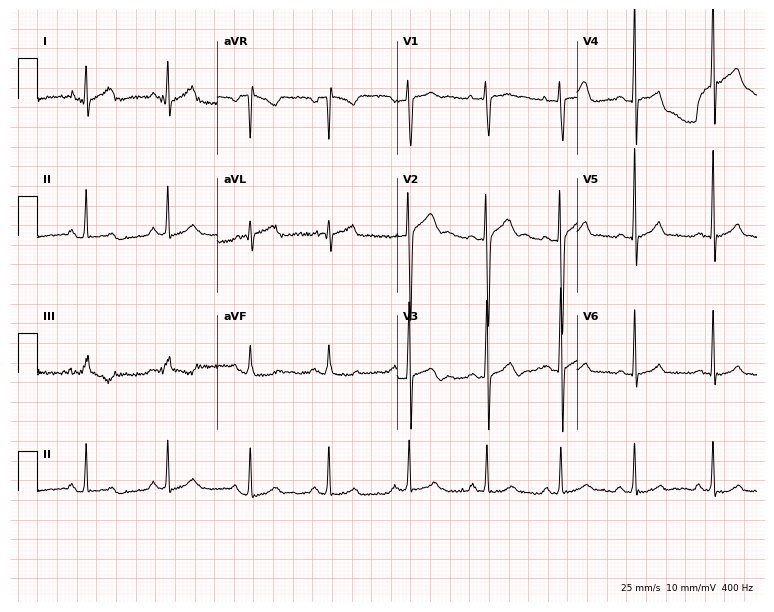
12-lead ECG (7.3-second recording at 400 Hz) from a male patient, 18 years old. Labelled as a normal ECG.